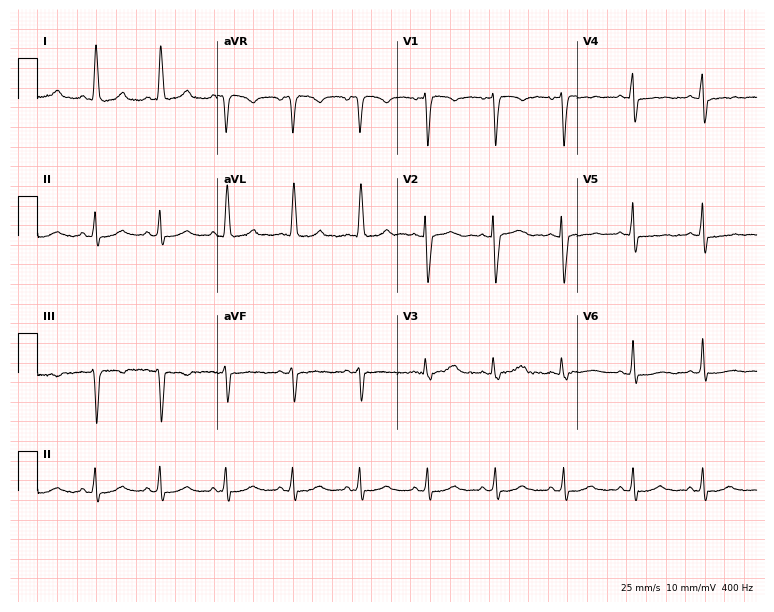
Resting 12-lead electrocardiogram (7.3-second recording at 400 Hz). Patient: a female, 54 years old. None of these six findings is recorded: first-degree AV block, right bundle branch block, left bundle branch block, sinus bradycardia, atrial fibrillation, sinus tachycardia.